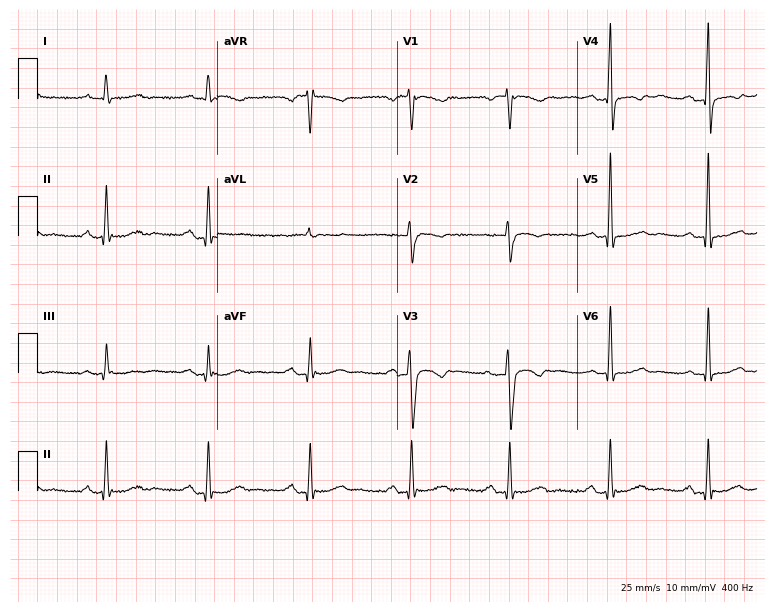
ECG — a female, 61 years old. Screened for six findings — first-degree AV block, right bundle branch block, left bundle branch block, sinus bradycardia, atrial fibrillation, sinus tachycardia — none is recorded. Only these six findings were labelled.